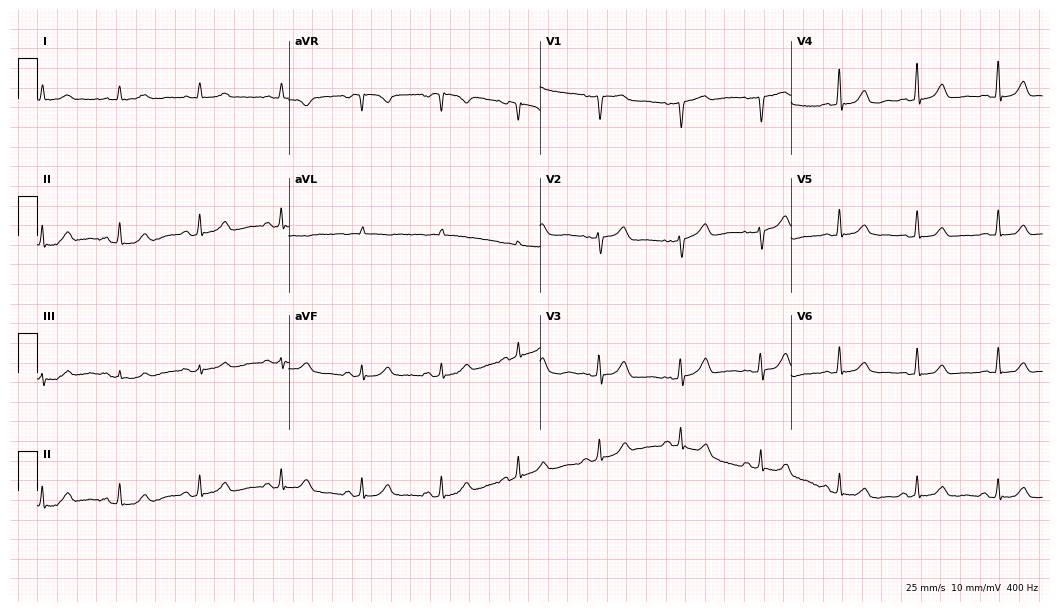
ECG — a female, 63 years old. Labelled as a normal ECG.